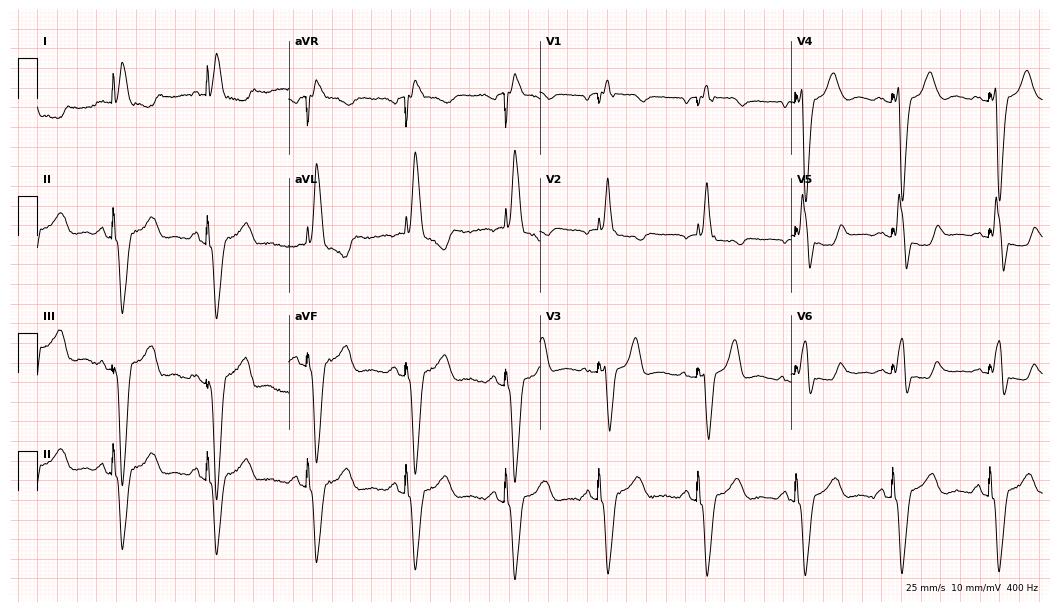
ECG (10.2-second recording at 400 Hz) — a female patient, 70 years old. Findings include right bundle branch block (RBBB).